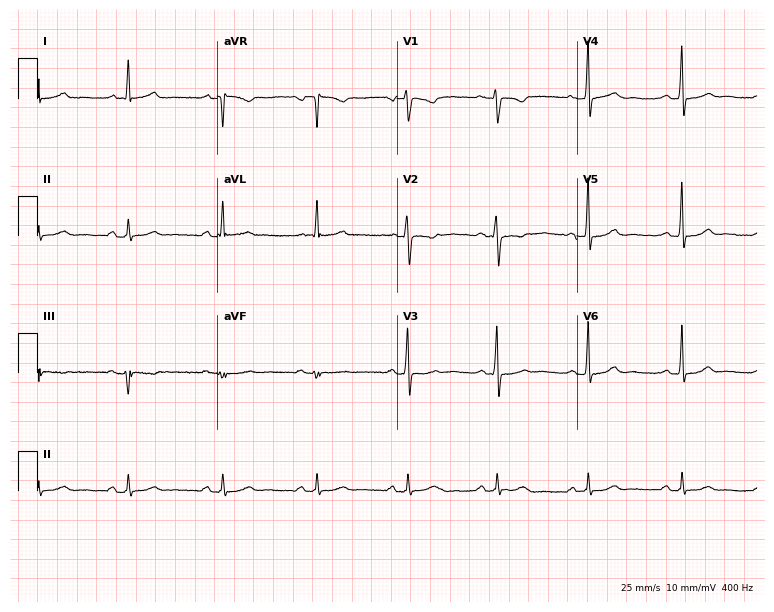
Resting 12-lead electrocardiogram. Patient: a female, 43 years old. Read as a normal ECG.